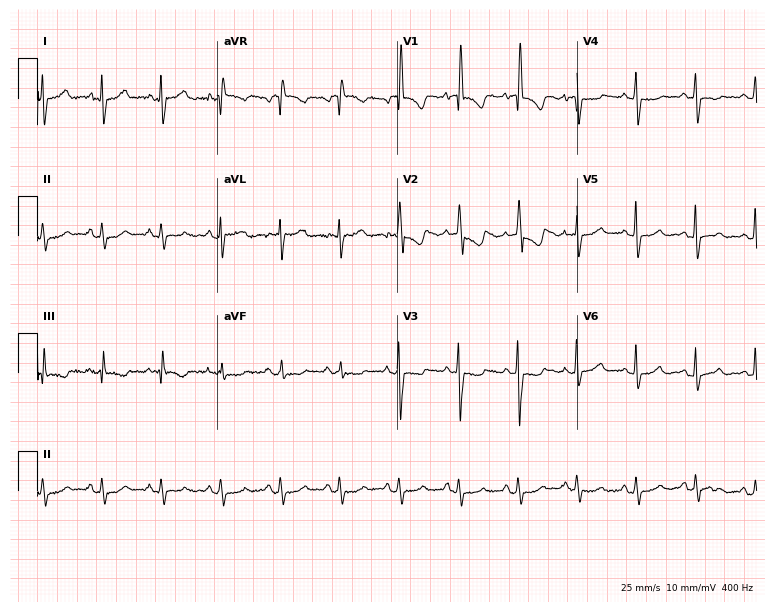
Standard 12-lead ECG recorded from a woman, 84 years old (7.3-second recording at 400 Hz). None of these six findings is recorded: first-degree AV block, right bundle branch block, left bundle branch block, sinus bradycardia, atrial fibrillation, sinus tachycardia. Only these six findings were labelled.